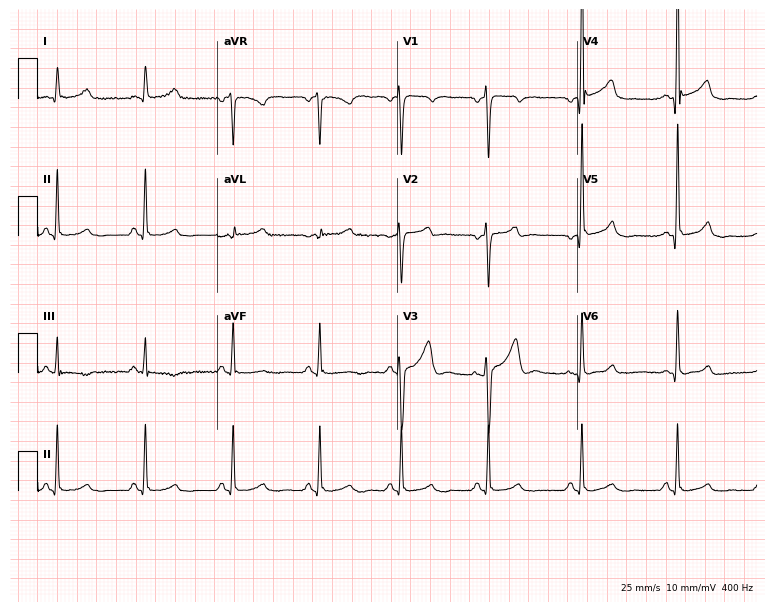
ECG (7.3-second recording at 400 Hz) — a male, 33 years old. Labelled as a normal ECG.